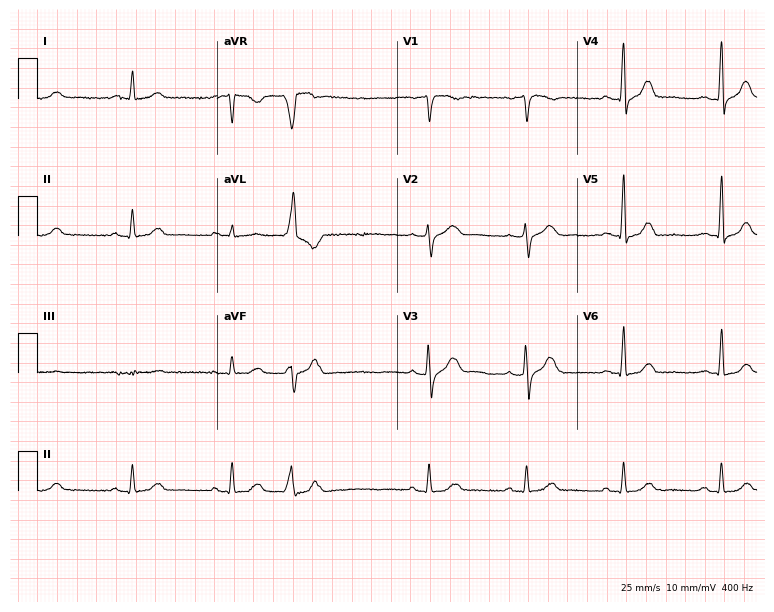
12-lead ECG from a male, 83 years old (7.3-second recording at 400 Hz). No first-degree AV block, right bundle branch block (RBBB), left bundle branch block (LBBB), sinus bradycardia, atrial fibrillation (AF) or sinus tachycardia recorded for this tracing. Only these six findings were labelled.